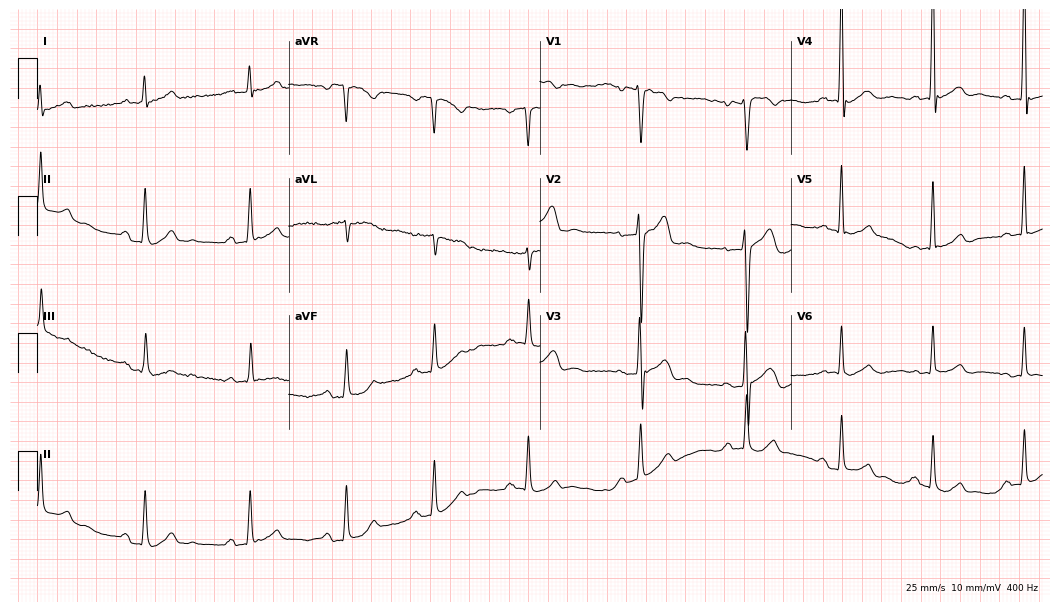
Resting 12-lead electrocardiogram (10.2-second recording at 400 Hz). Patient: a 40-year-old male. None of these six findings is recorded: first-degree AV block, right bundle branch block, left bundle branch block, sinus bradycardia, atrial fibrillation, sinus tachycardia.